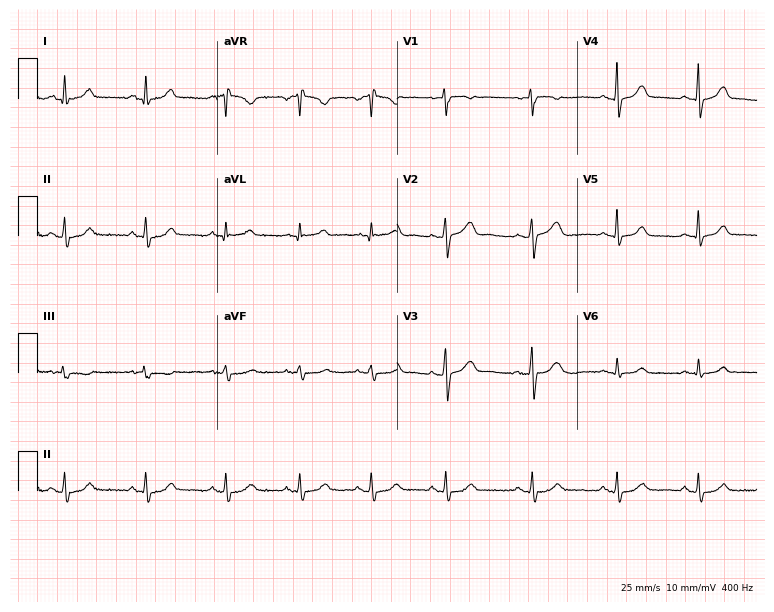
12-lead ECG from a female patient, 27 years old. No first-degree AV block, right bundle branch block, left bundle branch block, sinus bradycardia, atrial fibrillation or sinus tachycardia recorded for this tracing. Other findings, if any, are not listed.